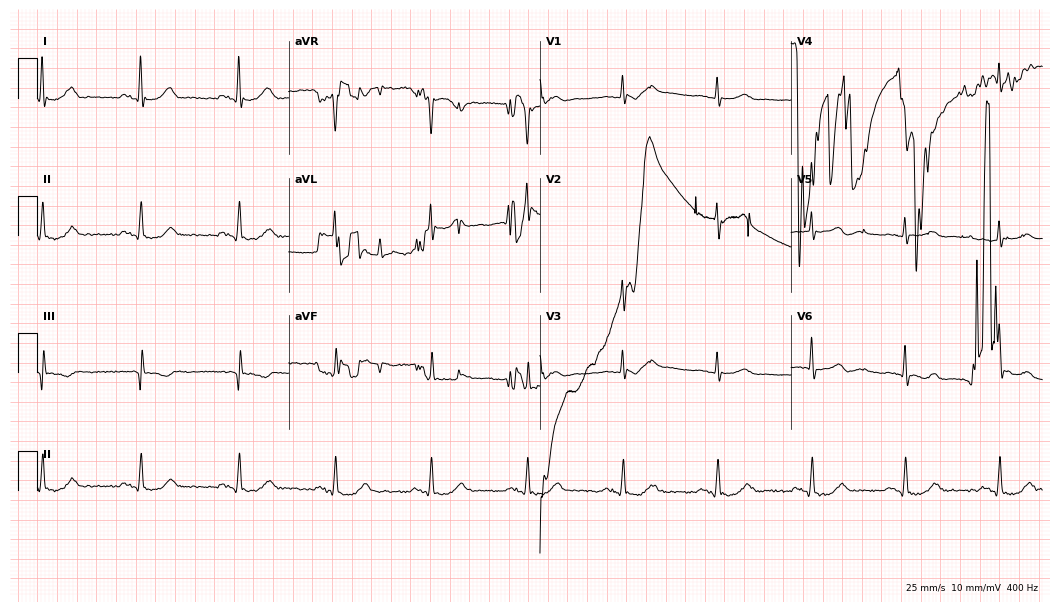
Resting 12-lead electrocardiogram (10.2-second recording at 400 Hz). Patient: a male, 74 years old. None of these six findings is recorded: first-degree AV block, right bundle branch block (RBBB), left bundle branch block (LBBB), sinus bradycardia, atrial fibrillation (AF), sinus tachycardia. Findings outside these six are not listed.